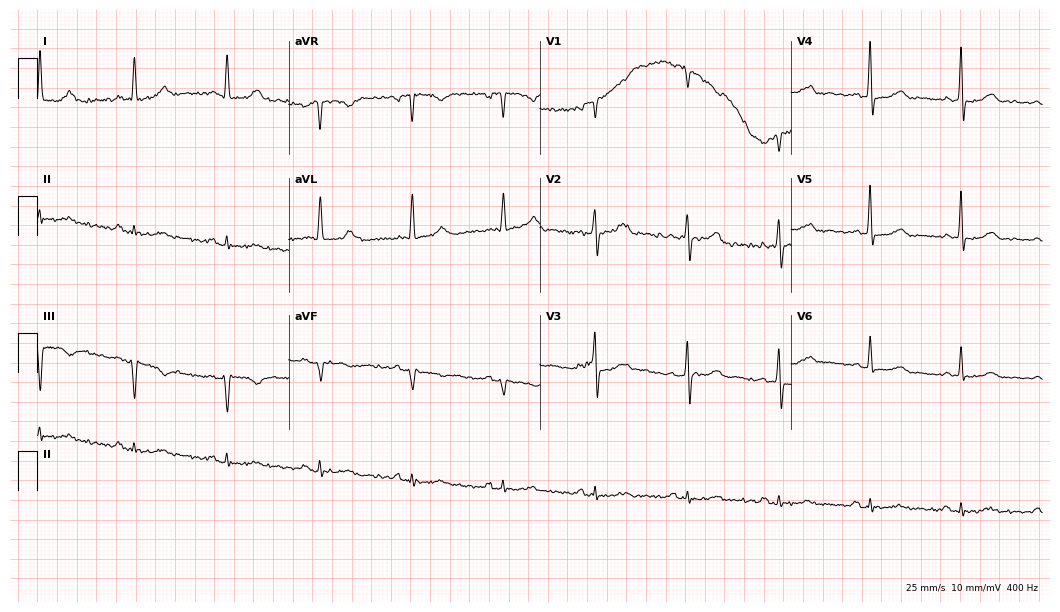
ECG (10.2-second recording at 400 Hz) — a male patient, 68 years old. Screened for six findings — first-degree AV block, right bundle branch block (RBBB), left bundle branch block (LBBB), sinus bradycardia, atrial fibrillation (AF), sinus tachycardia — none is recorded. Findings outside these six are not listed.